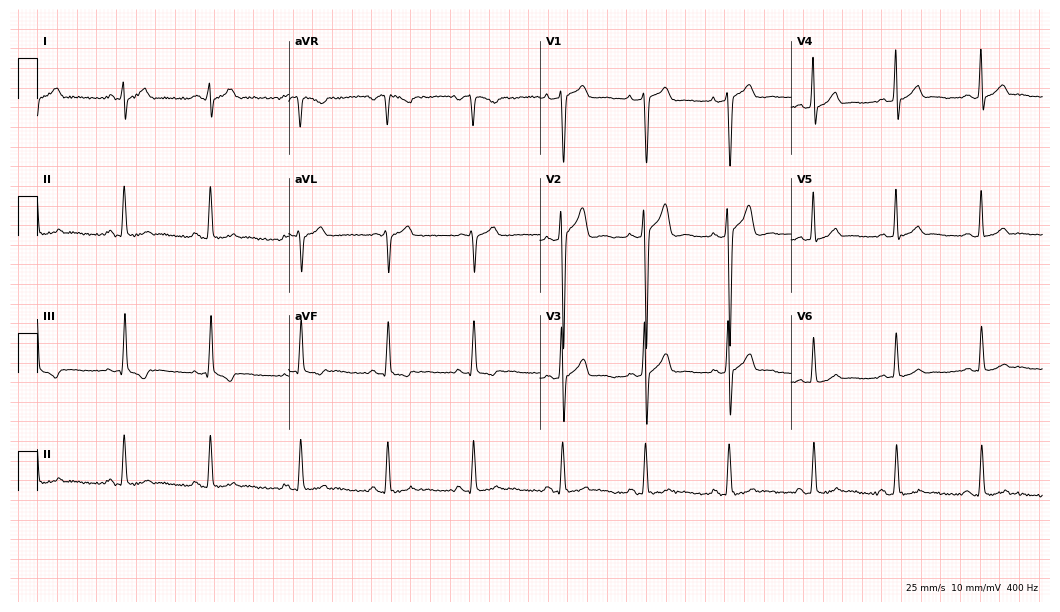
ECG — an 18-year-old woman. Labelled as a normal ECG.